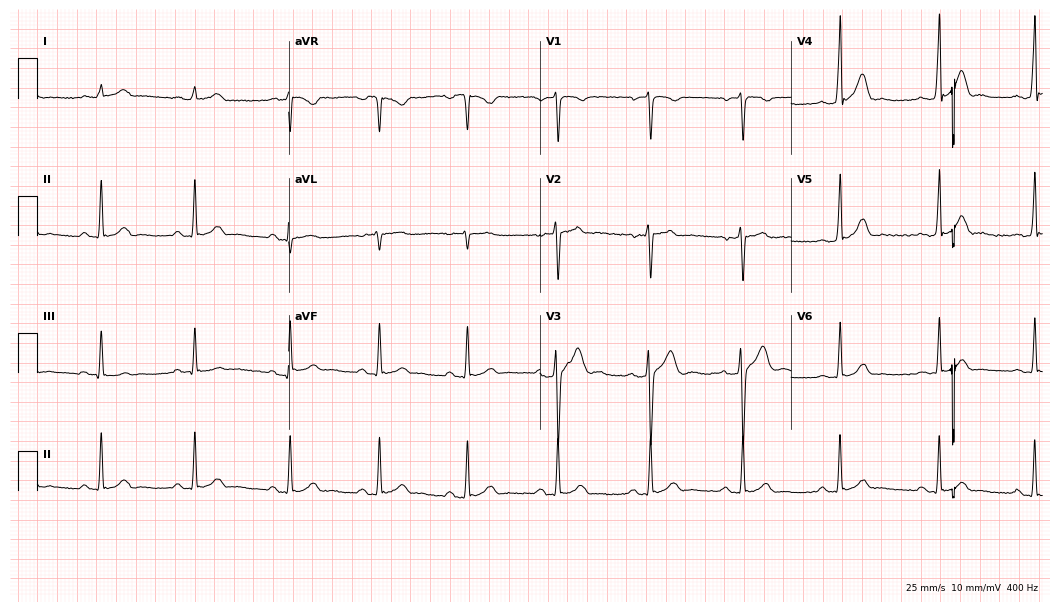
ECG — a man, 29 years old. Labelled as a normal ECG.